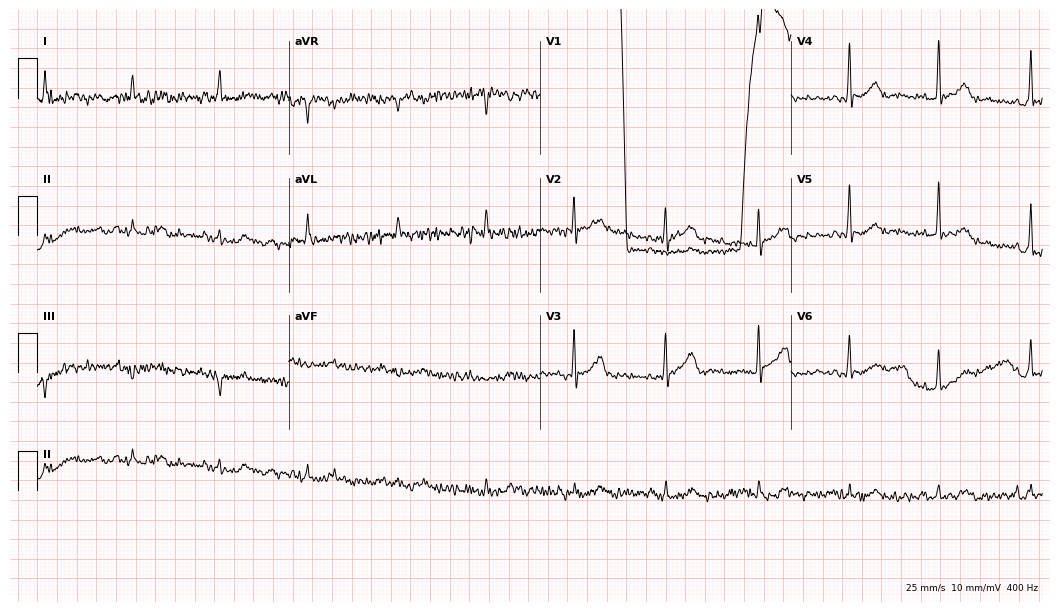
Standard 12-lead ECG recorded from a male patient, 81 years old. None of these six findings is recorded: first-degree AV block, right bundle branch block, left bundle branch block, sinus bradycardia, atrial fibrillation, sinus tachycardia. Other findings, if any, are not listed.